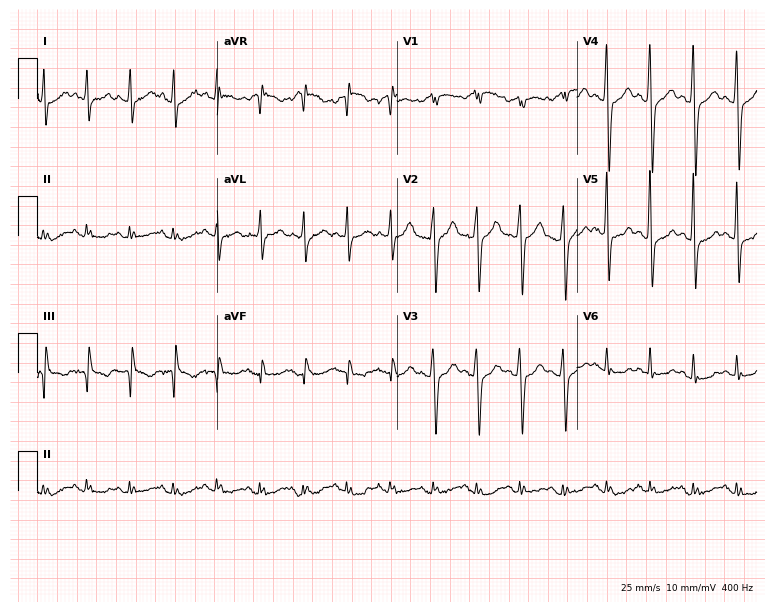
ECG — a man, 61 years old. Findings include sinus tachycardia (a sinus rate of 100 beats per minute or more).